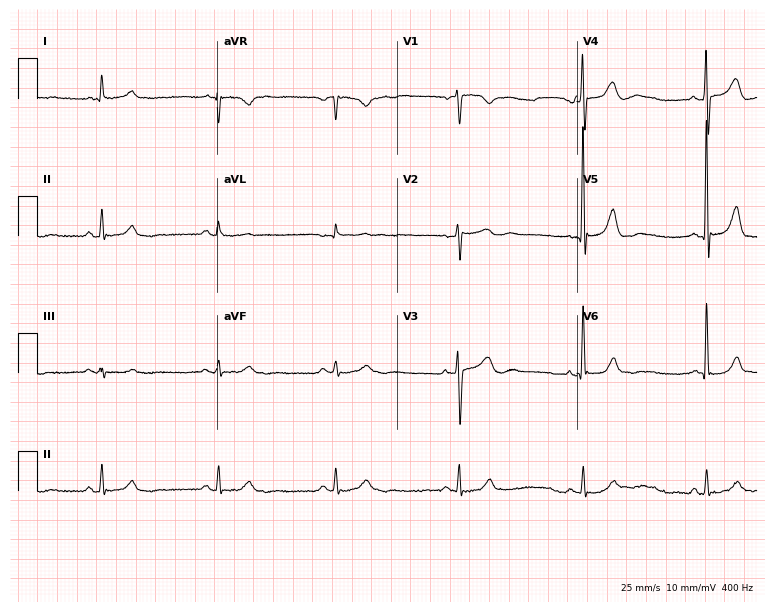
12-lead ECG from an 80-year-old male patient (7.3-second recording at 400 Hz). Shows sinus bradycardia (a sinus rate of 50 beats per minute or less).